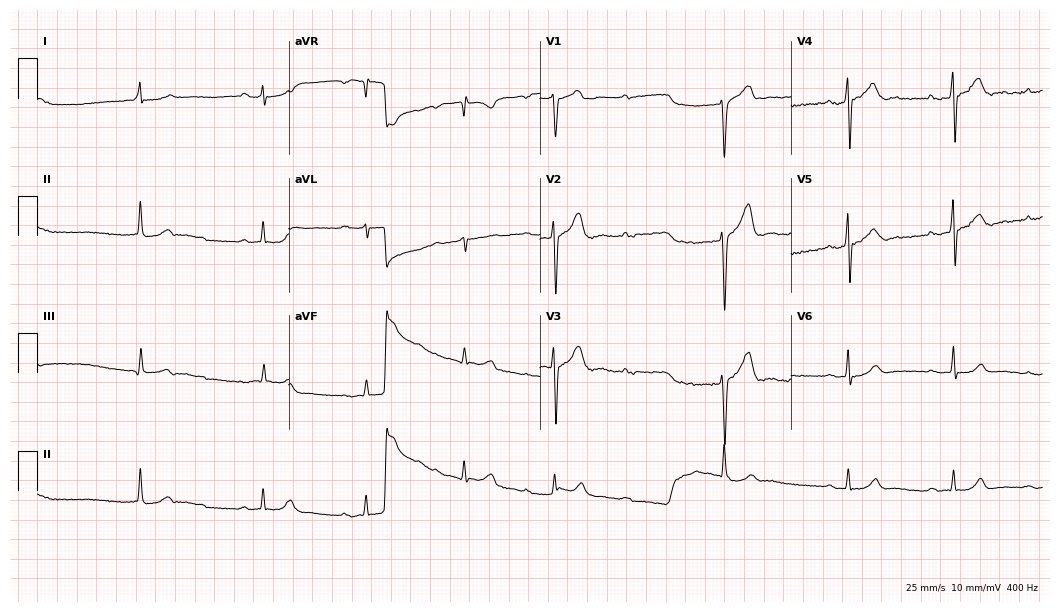
ECG (10.2-second recording at 400 Hz) — a 28-year-old male. Labelled as a normal ECG.